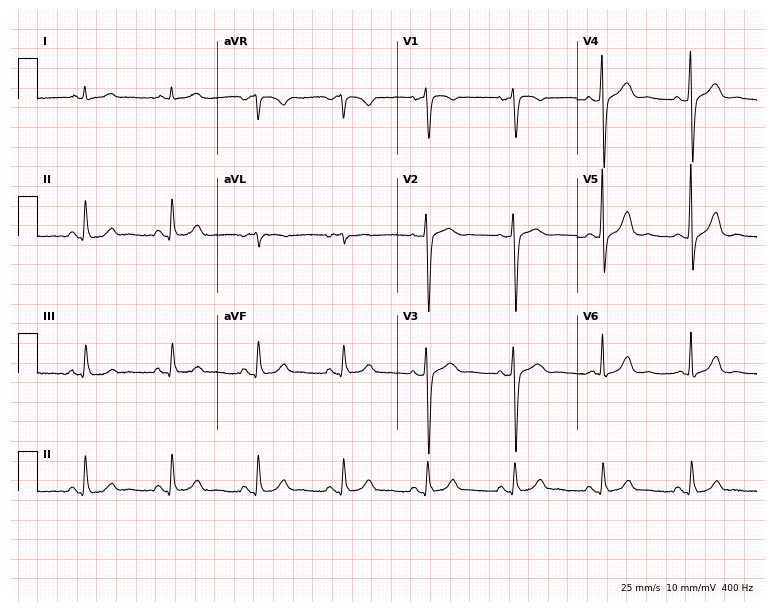
12-lead ECG (7.3-second recording at 400 Hz) from a man, 80 years old. Screened for six findings — first-degree AV block, right bundle branch block, left bundle branch block, sinus bradycardia, atrial fibrillation, sinus tachycardia — none is recorded.